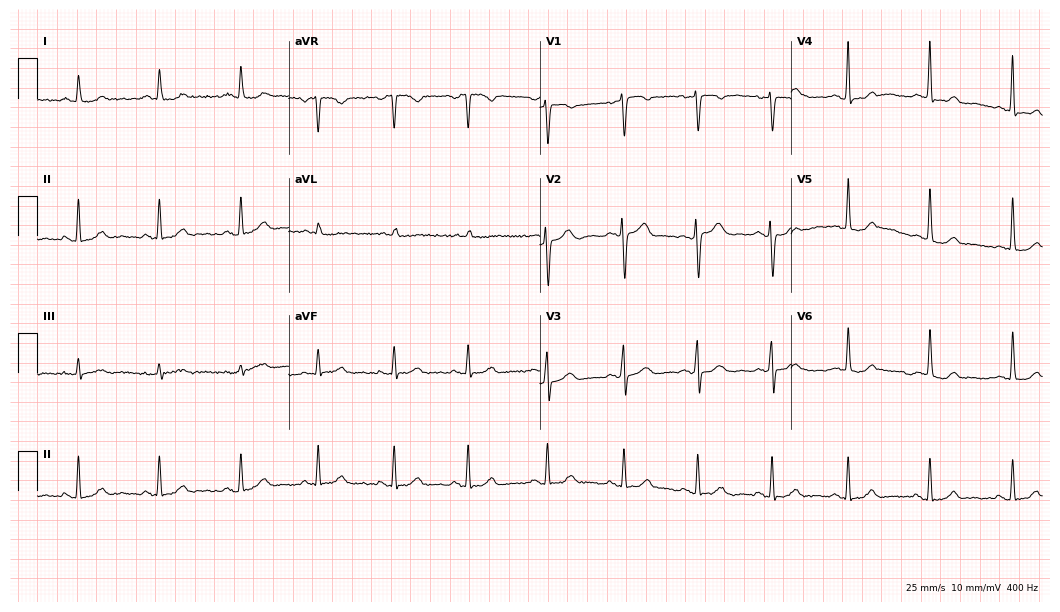
Electrocardiogram (10.2-second recording at 400 Hz), a 49-year-old woman. Overall reading on record: normal ECG.